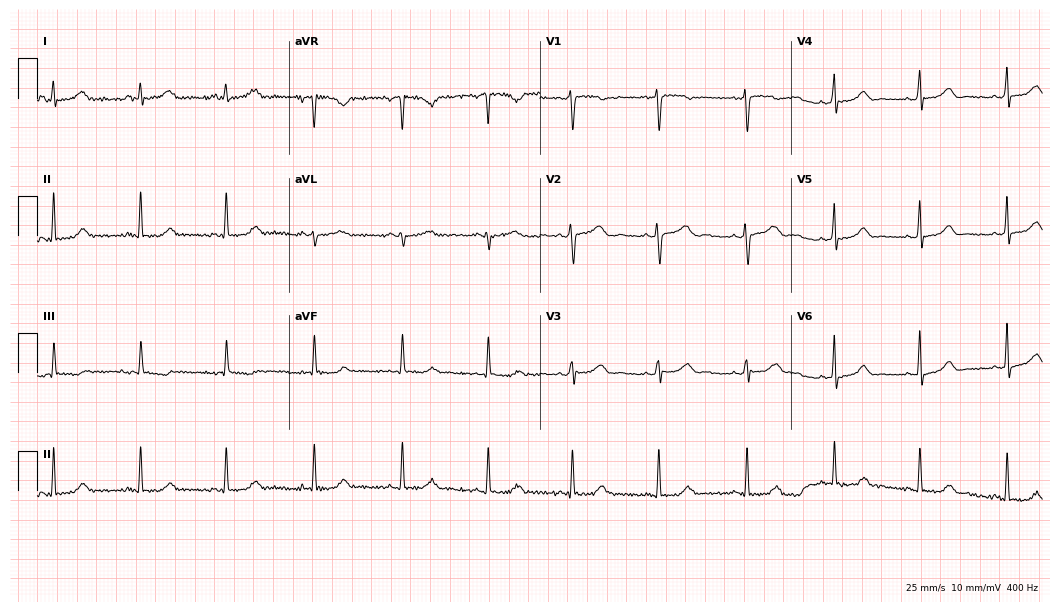
ECG (10.2-second recording at 400 Hz) — a 37-year-old woman. Labelled as a normal ECG.